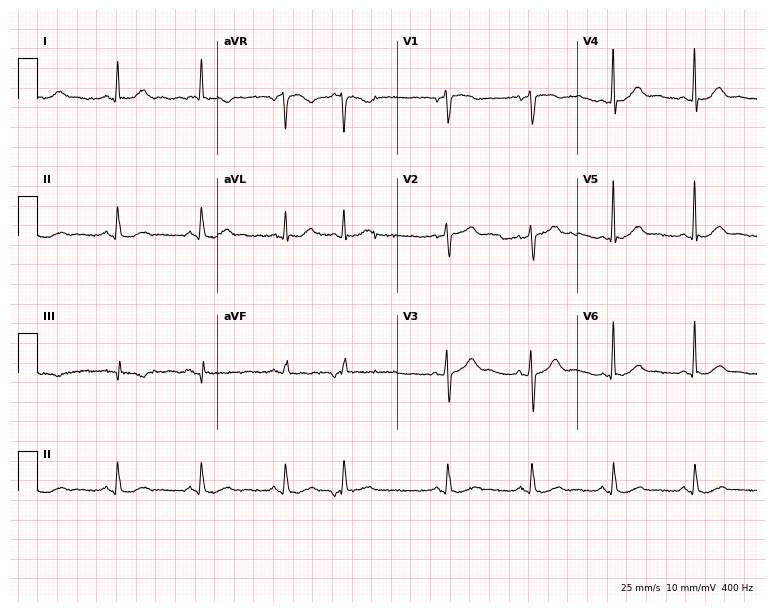
Standard 12-lead ECG recorded from an 84-year-old female patient (7.3-second recording at 400 Hz). None of these six findings is recorded: first-degree AV block, right bundle branch block (RBBB), left bundle branch block (LBBB), sinus bradycardia, atrial fibrillation (AF), sinus tachycardia. Findings outside these six are not listed.